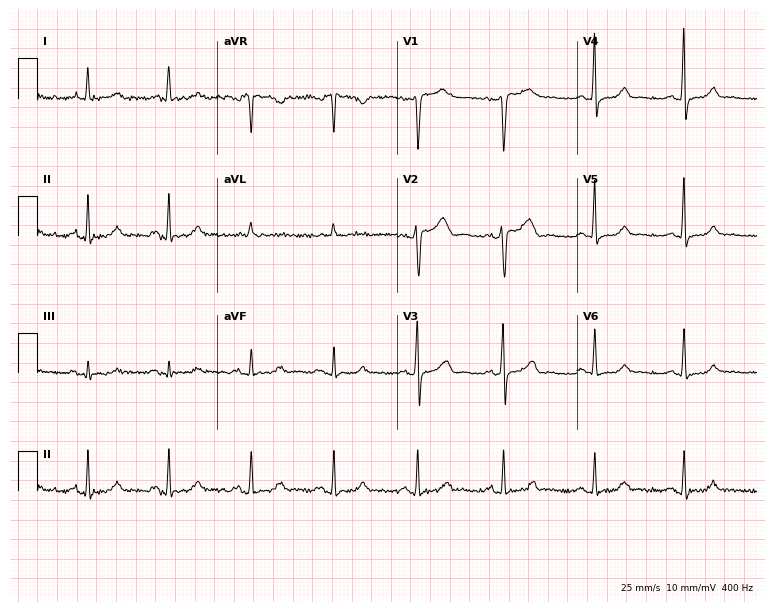
12-lead ECG from a woman, 57 years old (7.3-second recording at 400 Hz). No first-degree AV block, right bundle branch block, left bundle branch block, sinus bradycardia, atrial fibrillation or sinus tachycardia recorded for this tracing.